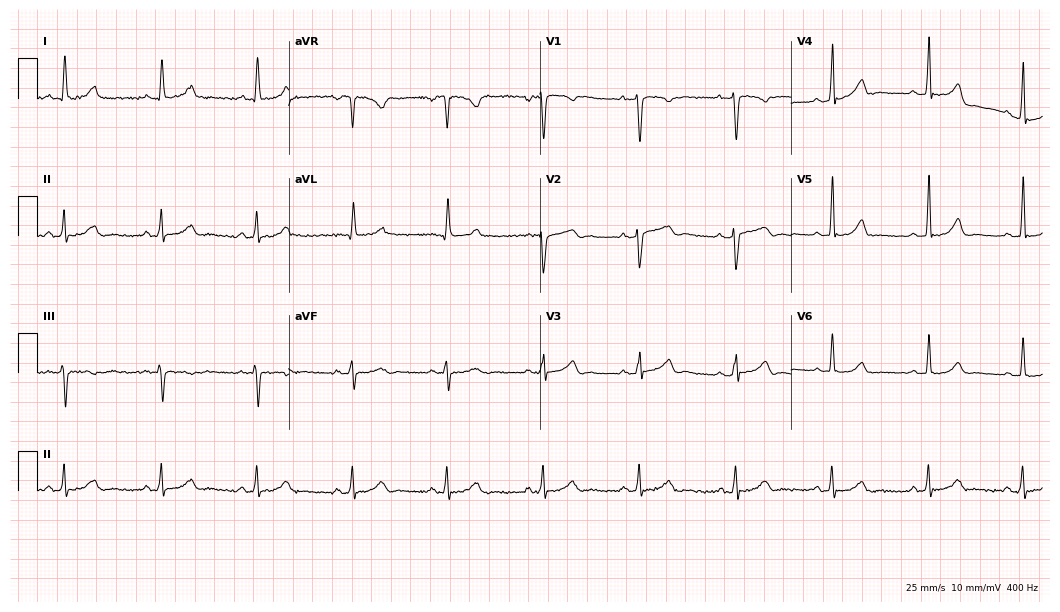
Resting 12-lead electrocardiogram. Patient: a 43-year-old woman. None of these six findings is recorded: first-degree AV block, right bundle branch block, left bundle branch block, sinus bradycardia, atrial fibrillation, sinus tachycardia. Findings outside these six are not listed.